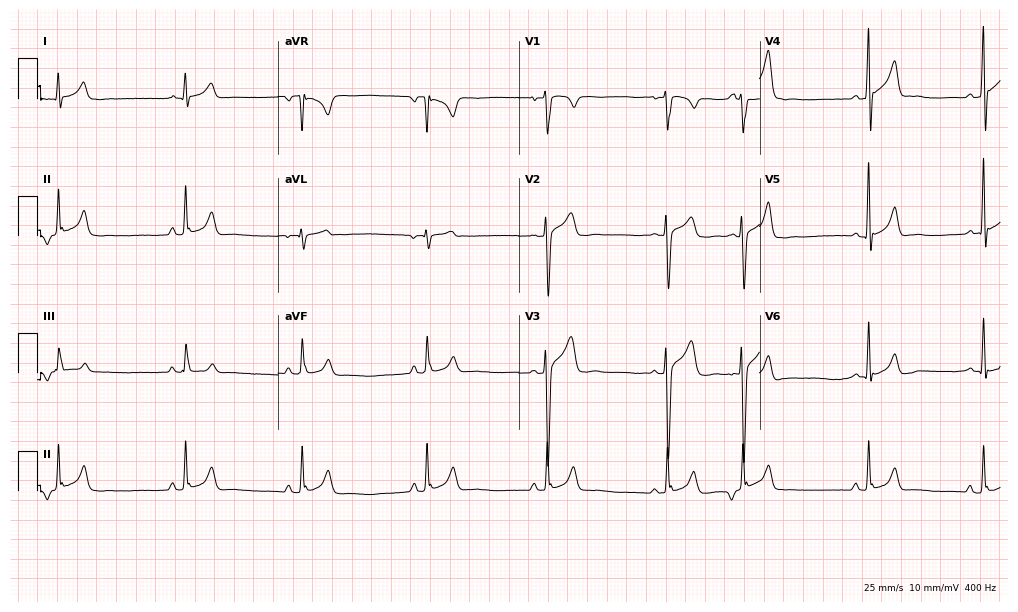
Standard 12-lead ECG recorded from a man, 17 years old (9.8-second recording at 400 Hz). Read as a normal ECG.